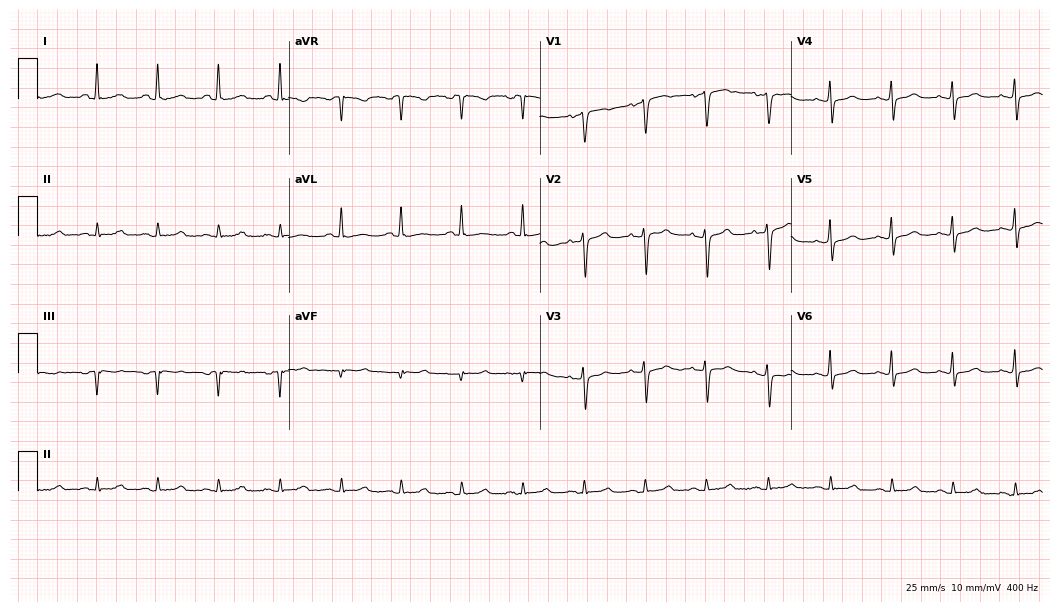
12-lead ECG (10.2-second recording at 400 Hz) from a female patient, 63 years old. Screened for six findings — first-degree AV block, right bundle branch block, left bundle branch block, sinus bradycardia, atrial fibrillation, sinus tachycardia — none is recorded. Findings outside these six are not listed.